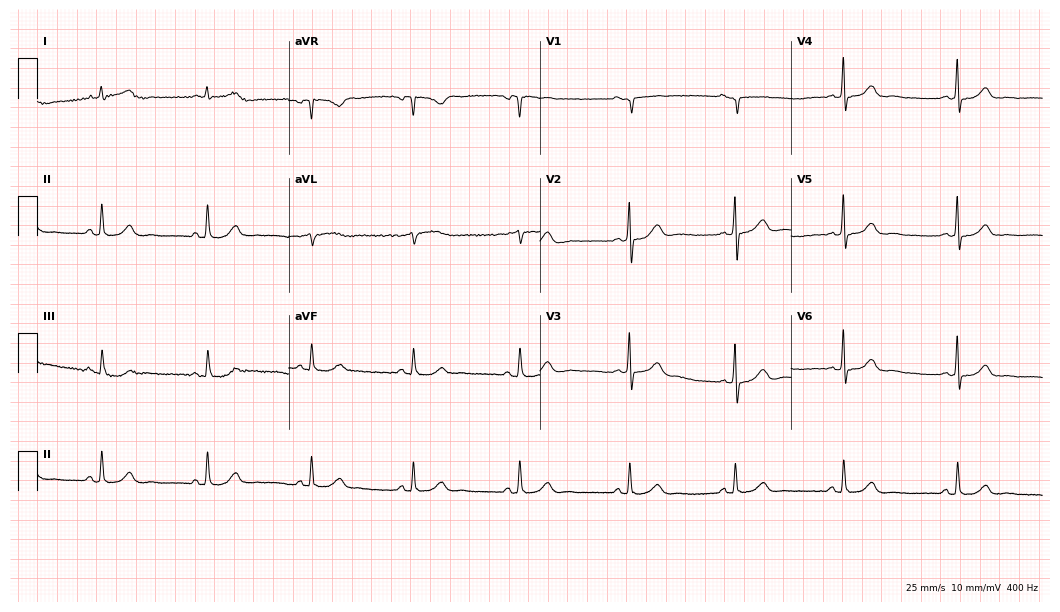
12-lead ECG (10.2-second recording at 400 Hz) from a female patient, 50 years old. Labelled as a normal ECG.